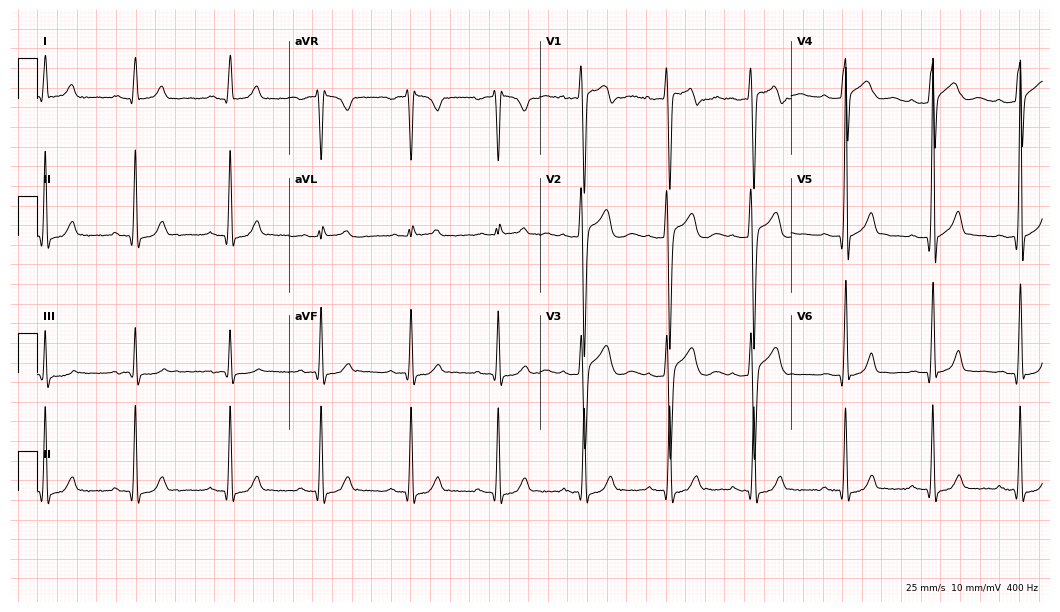
Electrocardiogram, a 23-year-old male patient. Of the six screened findings (first-degree AV block, right bundle branch block (RBBB), left bundle branch block (LBBB), sinus bradycardia, atrial fibrillation (AF), sinus tachycardia), none is recorded. Only these six findings were labelled.